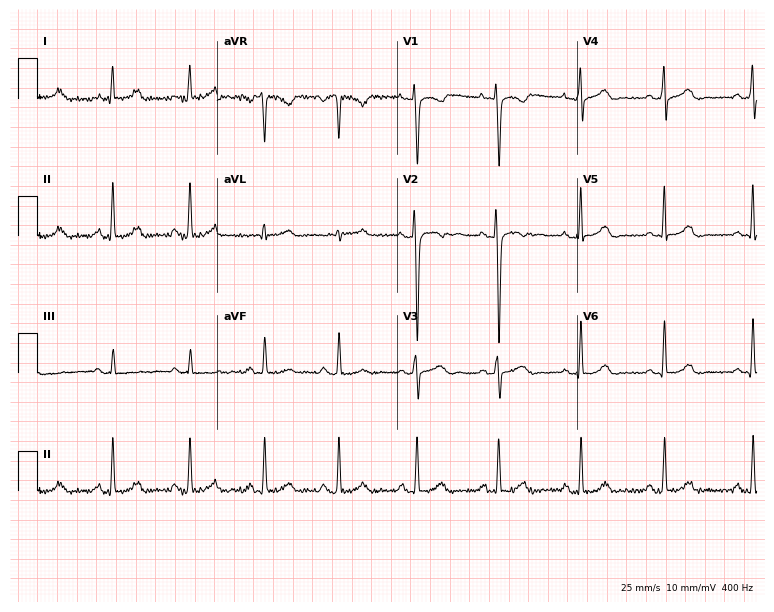
ECG — a 37-year-old woman. Screened for six findings — first-degree AV block, right bundle branch block (RBBB), left bundle branch block (LBBB), sinus bradycardia, atrial fibrillation (AF), sinus tachycardia — none is recorded. Only these six findings were labelled.